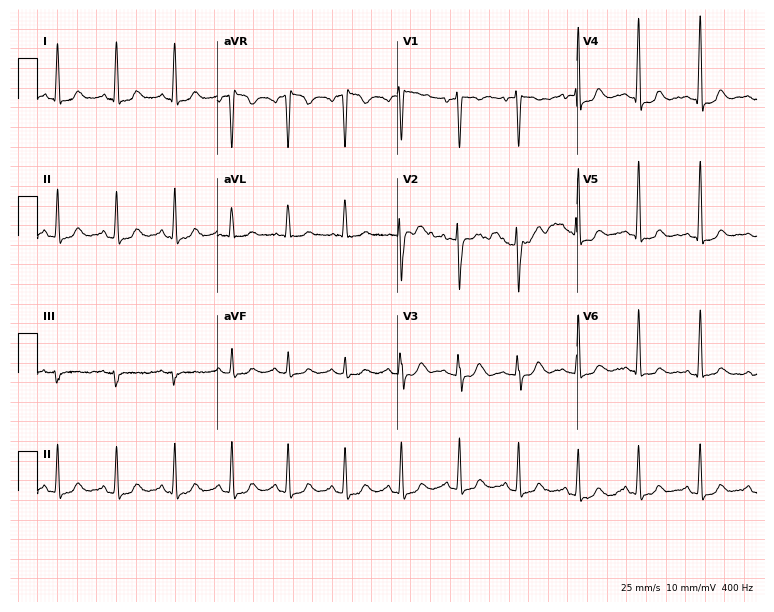
12-lead ECG (7.3-second recording at 400 Hz) from a female patient, 44 years old. Screened for six findings — first-degree AV block, right bundle branch block, left bundle branch block, sinus bradycardia, atrial fibrillation, sinus tachycardia — none is recorded. Findings outside these six are not listed.